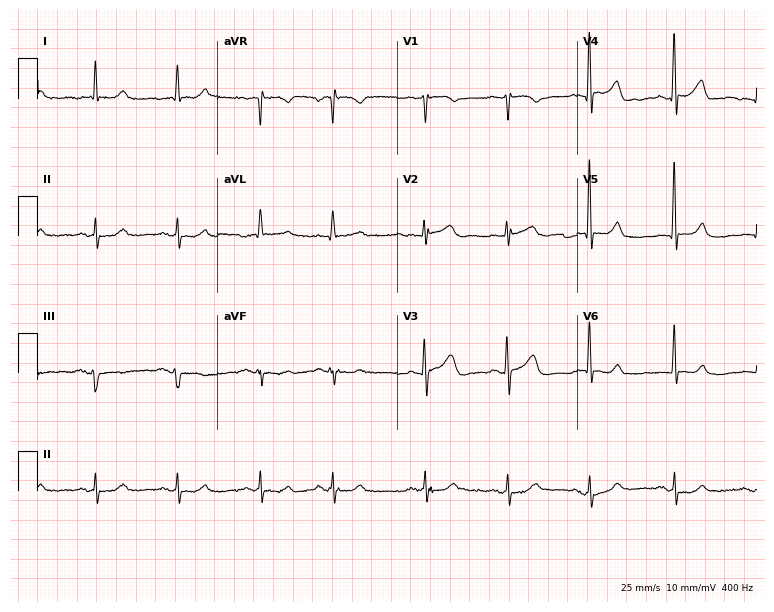
12-lead ECG (7.3-second recording at 400 Hz) from an 81-year-old male patient. Screened for six findings — first-degree AV block, right bundle branch block (RBBB), left bundle branch block (LBBB), sinus bradycardia, atrial fibrillation (AF), sinus tachycardia — none is recorded.